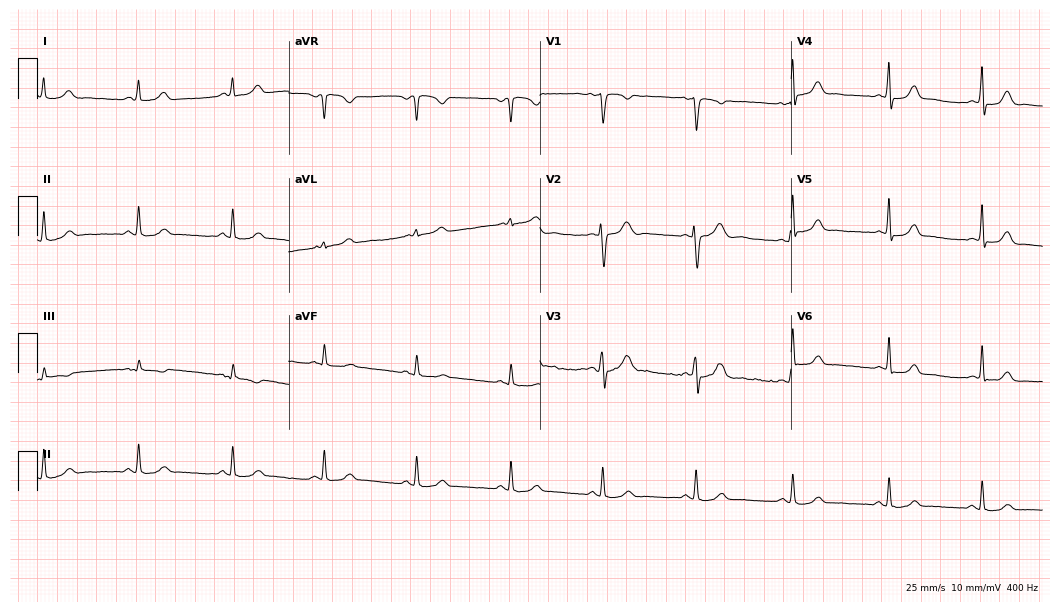
12-lead ECG from a 32-year-old woman. Screened for six findings — first-degree AV block, right bundle branch block, left bundle branch block, sinus bradycardia, atrial fibrillation, sinus tachycardia — none is recorded.